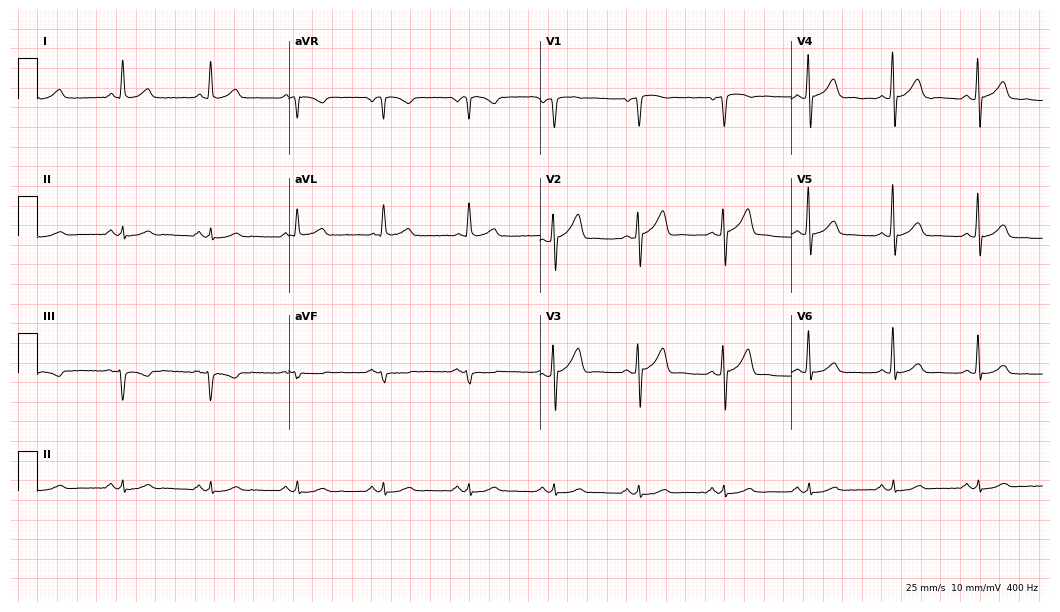
12-lead ECG from a man, 65 years old. Recorded interpretation: within normal limits.